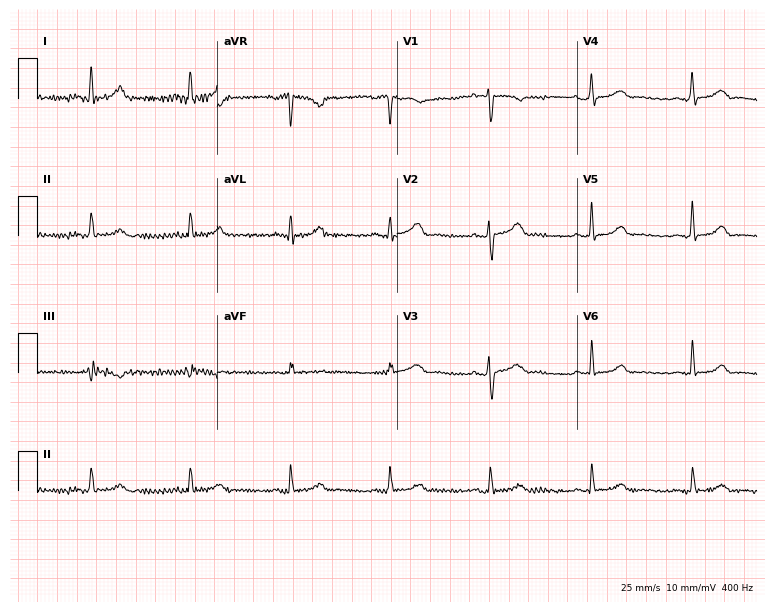
ECG — a 30-year-old female. Labelled as a normal ECG.